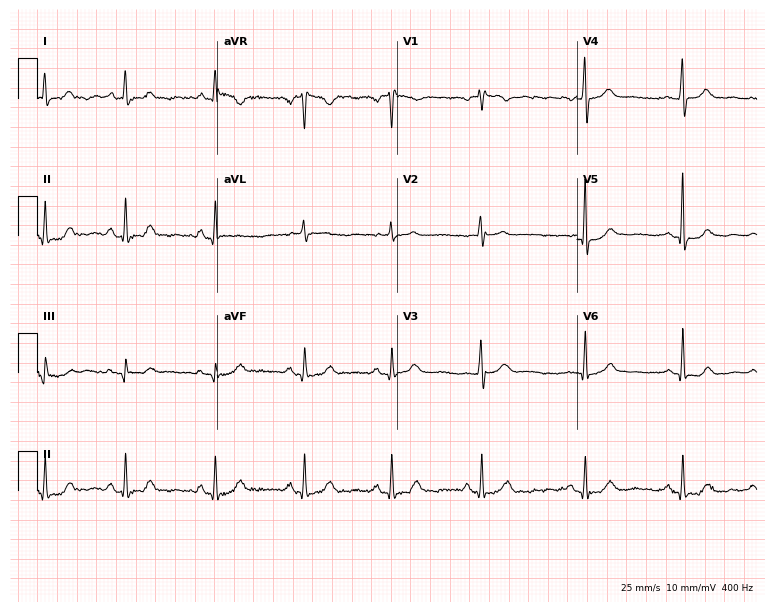
Resting 12-lead electrocardiogram (7.3-second recording at 400 Hz). Patient: a 62-year-old woman. None of these six findings is recorded: first-degree AV block, right bundle branch block (RBBB), left bundle branch block (LBBB), sinus bradycardia, atrial fibrillation (AF), sinus tachycardia. Findings outside these six are not listed.